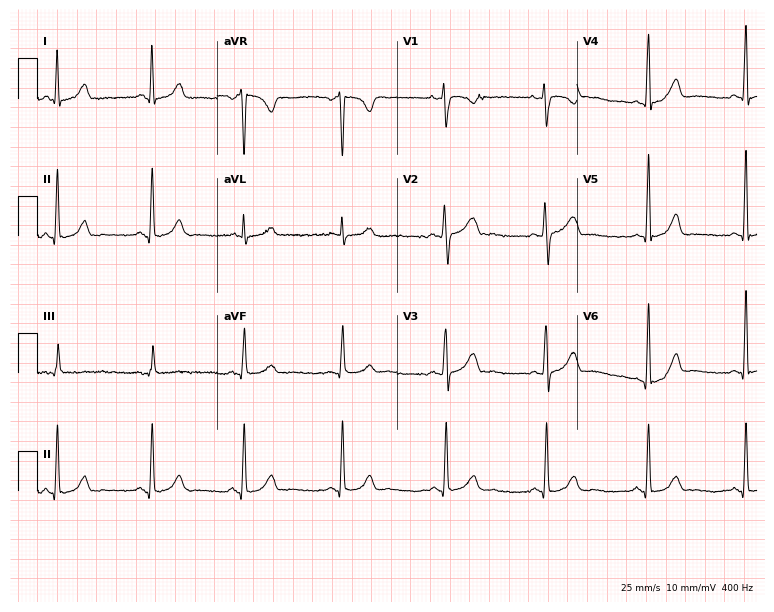
12-lead ECG from a 37-year-old female patient. Recorded interpretation: within normal limits.